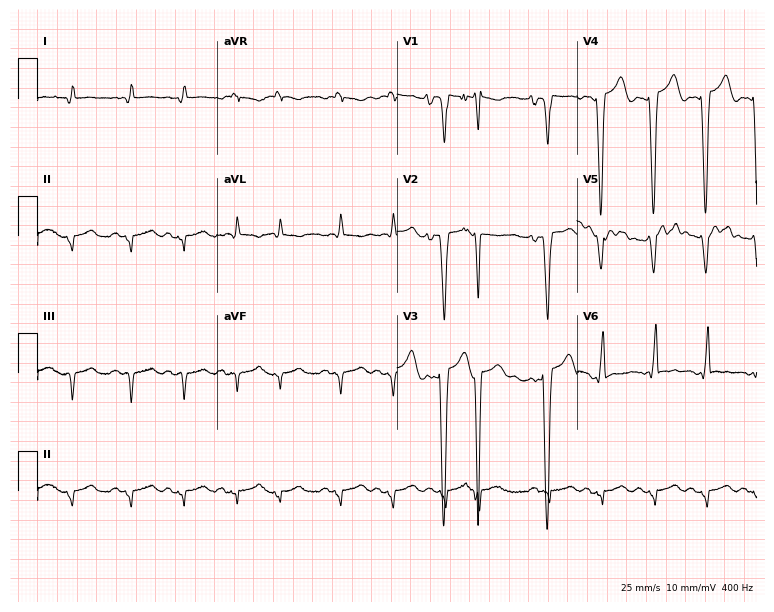
12-lead ECG from a 72-year-old female patient. Shows sinus tachycardia (a sinus rate of 100 beats per minute or more).